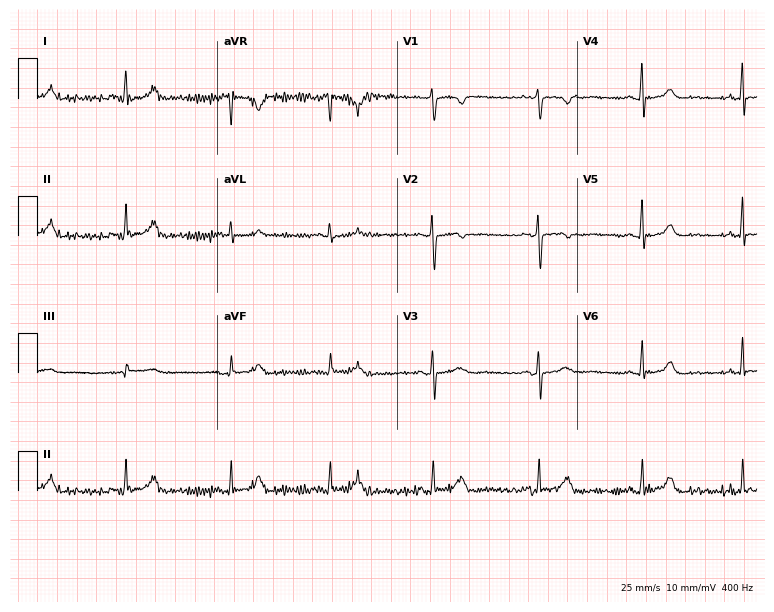
12-lead ECG from a woman, 50 years old. No first-degree AV block, right bundle branch block, left bundle branch block, sinus bradycardia, atrial fibrillation or sinus tachycardia recorded for this tracing.